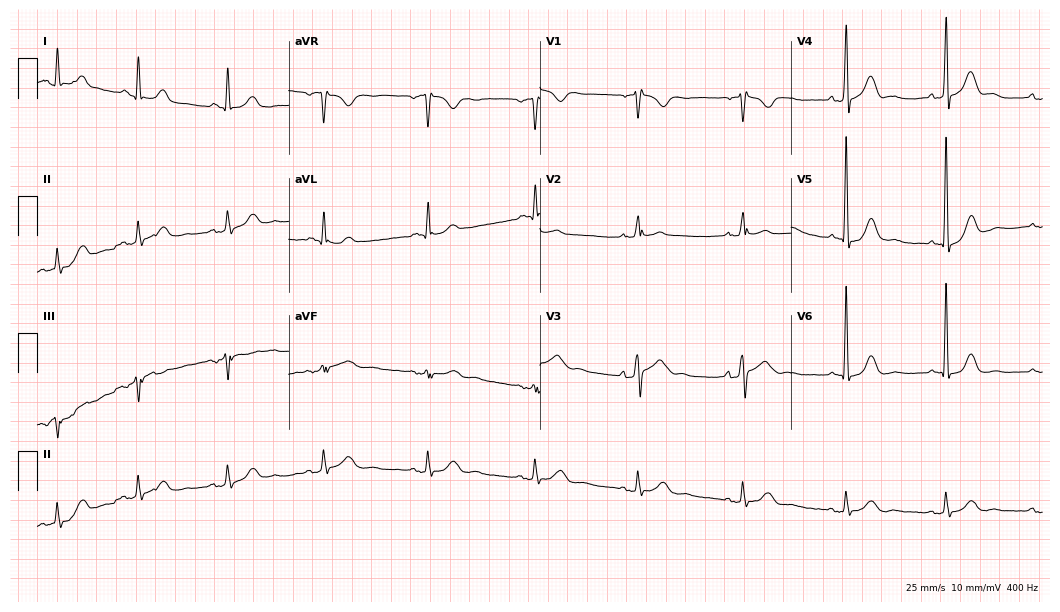
ECG (10.2-second recording at 400 Hz) — a 69-year-old male. Screened for six findings — first-degree AV block, right bundle branch block, left bundle branch block, sinus bradycardia, atrial fibrillation, sinus tachycardia — none is recorded. Only these six findings were labelled.